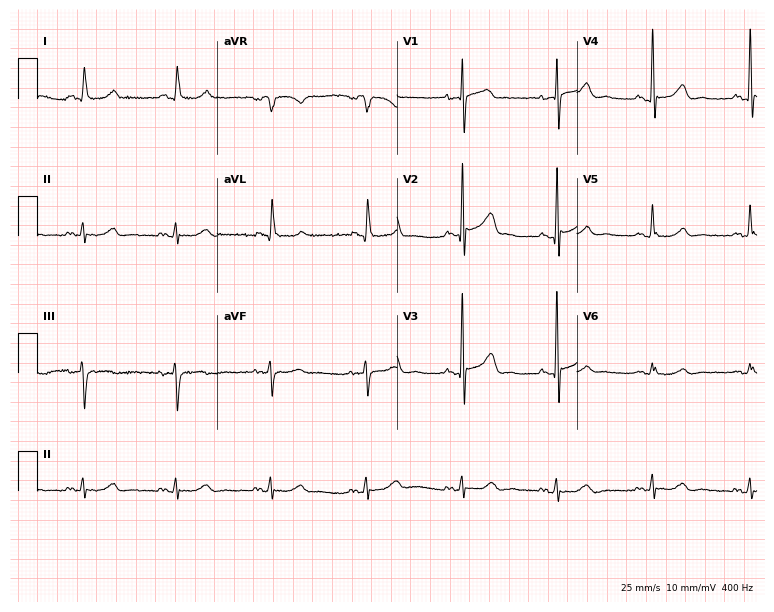
12-lead ECG from a female patient, 71 years old. No first-degree AV block, right bundle branch block (RBBB), left bundle branch block (LBBB), sinus bradycardia, atrial fibrillation (AF) or sinus tachycardia recorded for this tracing.